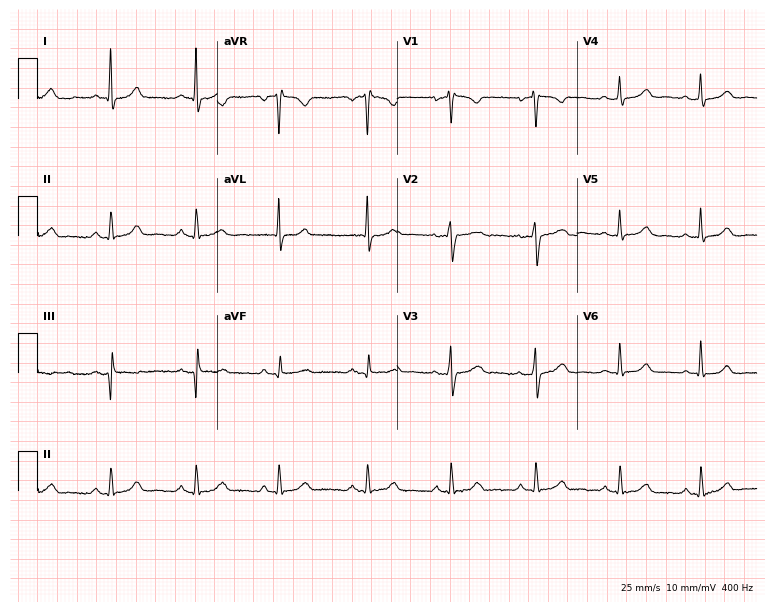
Standard 12-lead ECG recorded from a female patient, 57 years old. Read as a normal ECG.